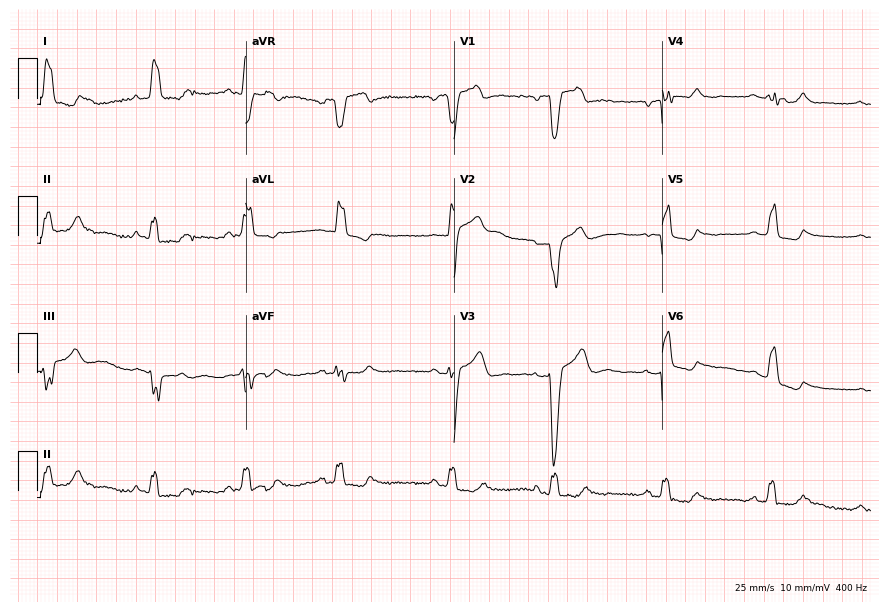
12-lead ECG from a 41-year-old female patient. Shows left bundle branch block (LBBB).